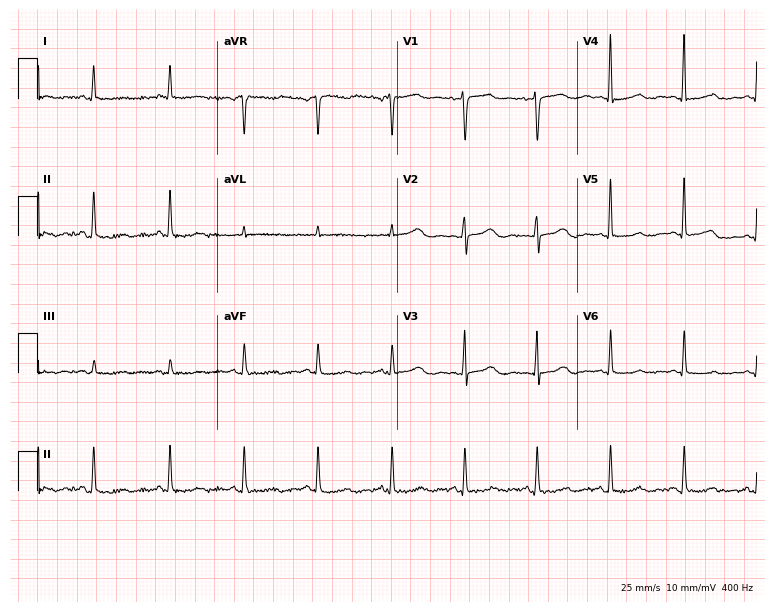
Standard 12-lead ECG recorded from a 51-year-old female patient (7.3-second recording at 400 Hz). Read as a normal ECG.